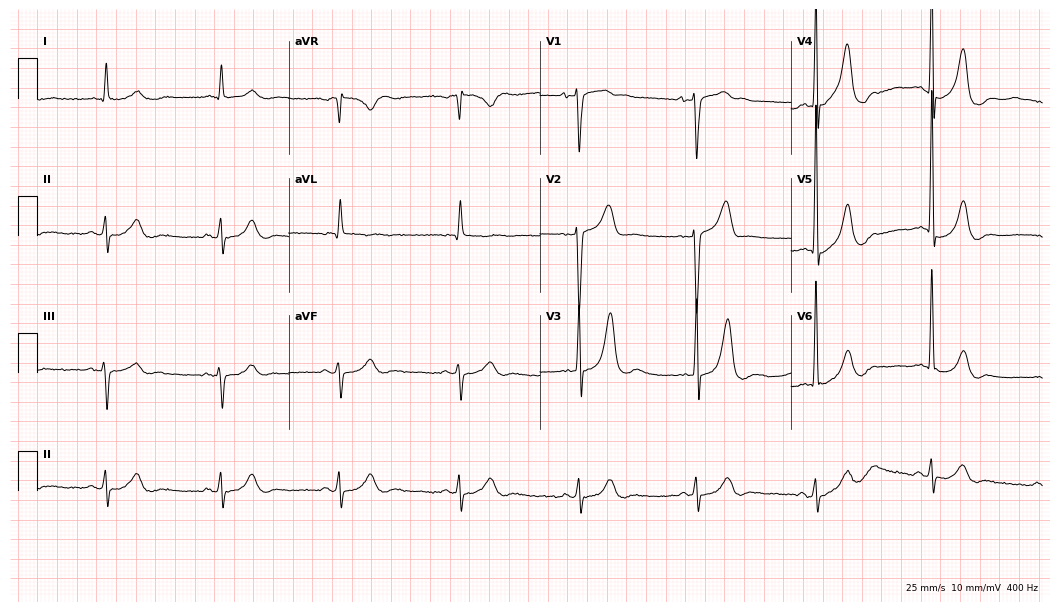
12-lead ECG from an 82-year-old male (10.2-second recording at 400 Hz). Shows sinus bradycardia (a sinus rate of 50 beats per minute or less).